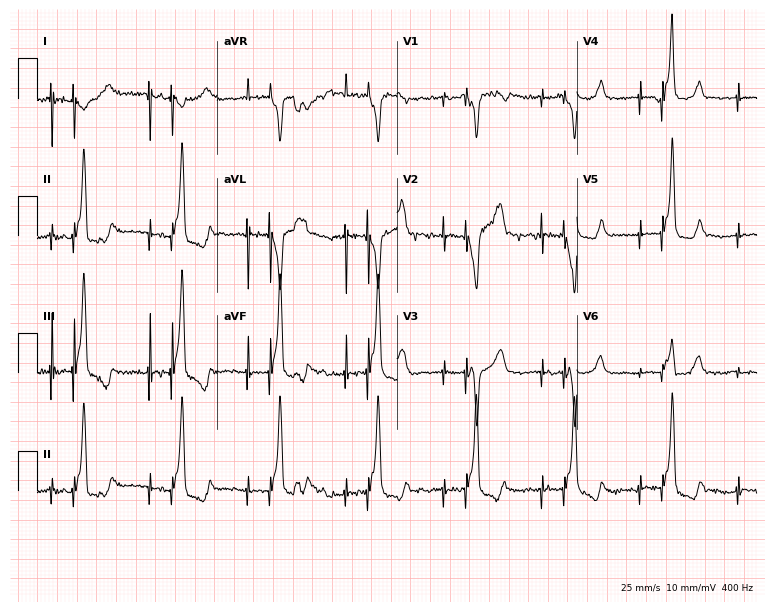
Standard 12-lead ECG recorded from a male patient, 80 years old. None of these six findings is recorded: first-degree AV block, right bundle branch block, left bundle branch block, sinus bradycardia, atrial fibrillation, sinus tachycardia. Only these six findings were labelled.